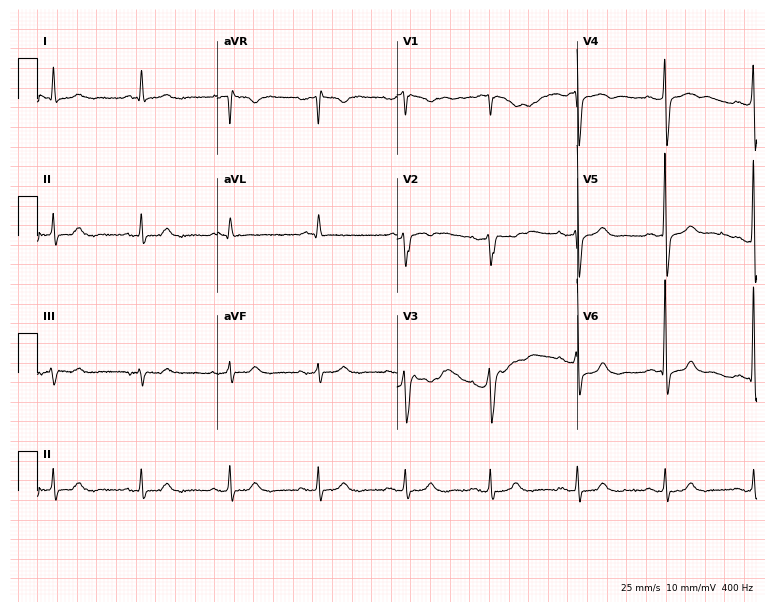
ECG — a man, 83 years old. Screened for six findings — first-degree AV block, right bundle branch block, left bundle branch block, sinus bradycardia, atrial fibrillation, sinus tachycardia — none is recorded.